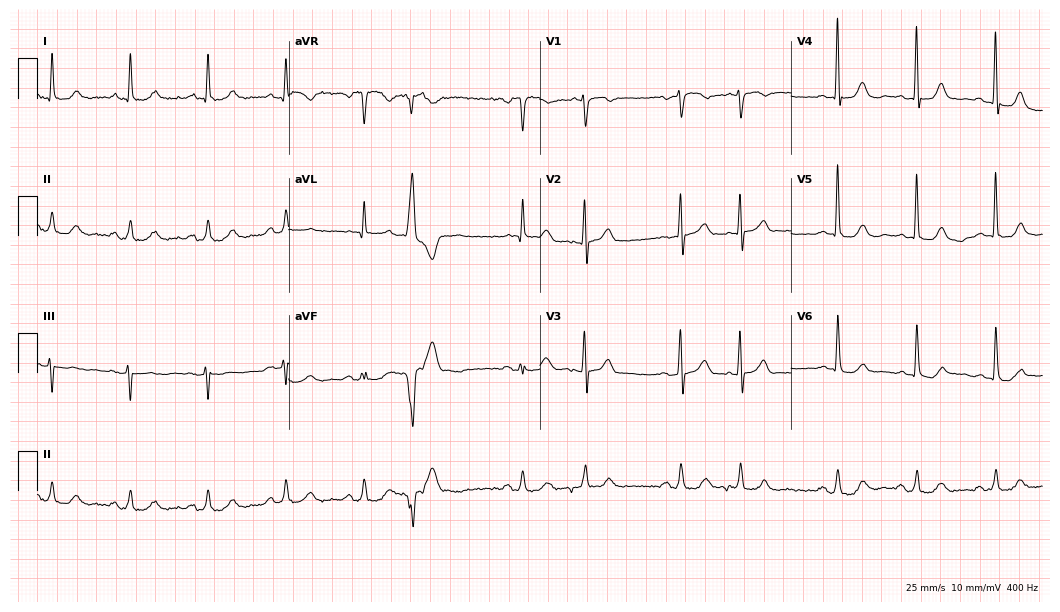
Electrocardiogram, a 78-year-old man. Overall reading on record: normal ECG.